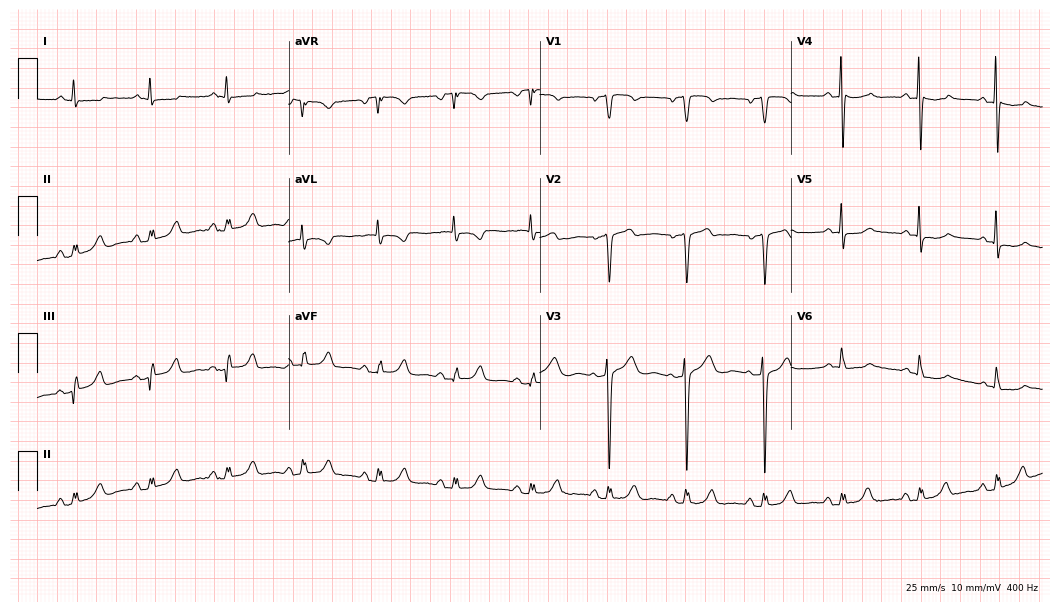
Resting 12-lead electrocardiogram (10.2-second recording at 400 Hz). Patient: a female, 65 years old. Read as a normal ECG.